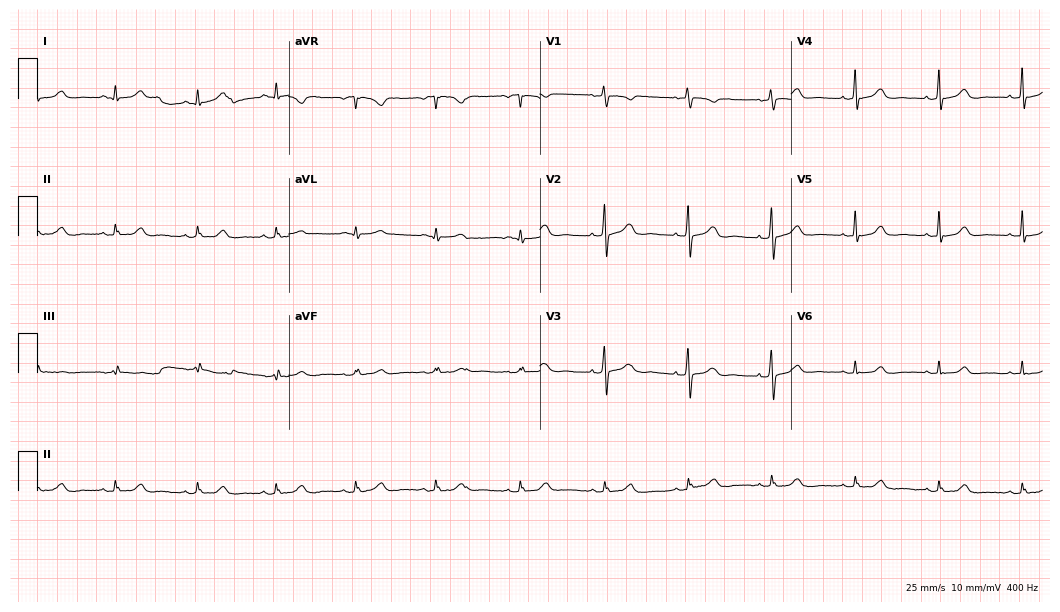
Resting 12-lead electrocardiogram (10.2-second recording at 400 Hz). Patient: a woman, 59 years old. Read as a normal ECG.